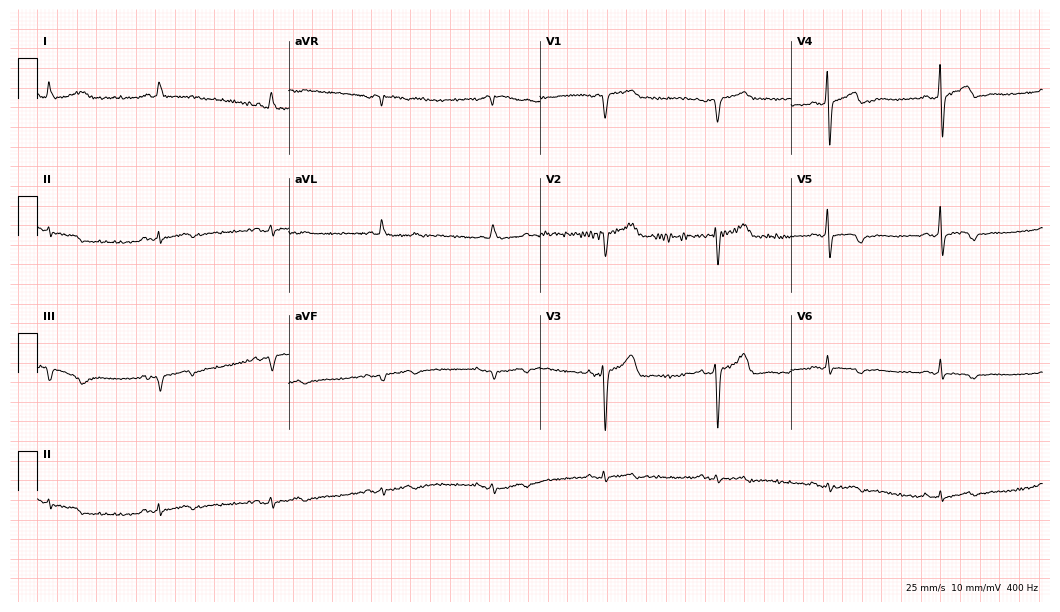
Resting 12-lead electrocardiogram (10.2-second recording at 400 Hz). Patient: an 80-year-old male. None of these six findings is recorded: first-degree AV block, right bundle branch block, left bundle branch block, sinus bradycardia, atrial fibrillation, sinus tachycardia.